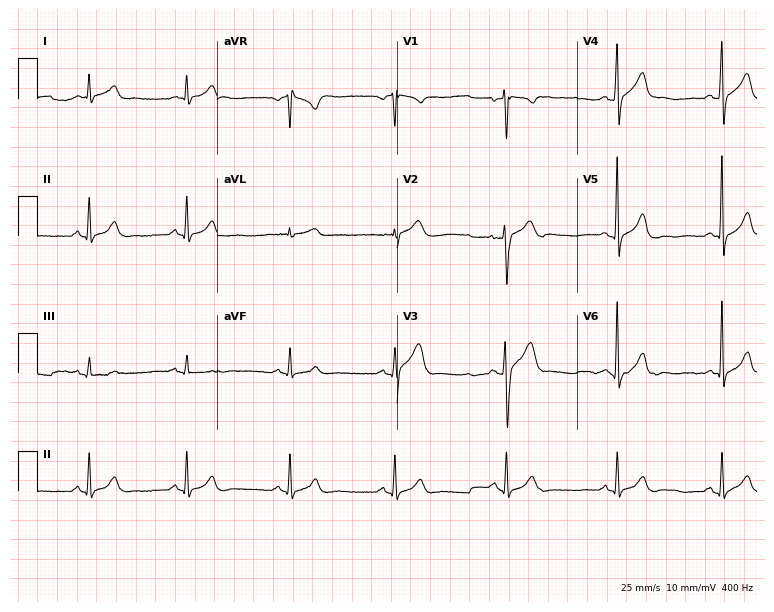
12-lead ECG from a male, 44 years old. Screened for six findings — first-degree AV block, right bundle branch block, left bundle branch block, sinus bradycardia, atrial fibrillation, sinus tachycardia — none is recorded.